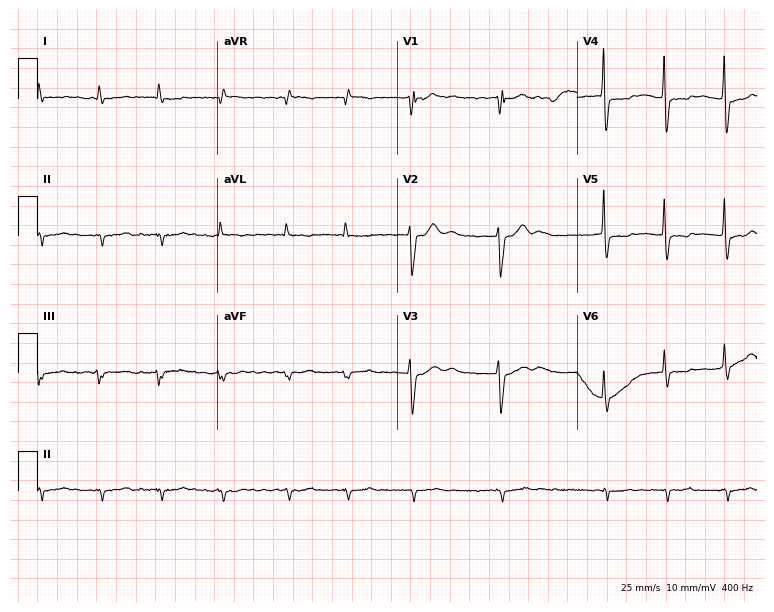
12-lead ECG from an 83-year-old female. Findings include atrial fibrillation.